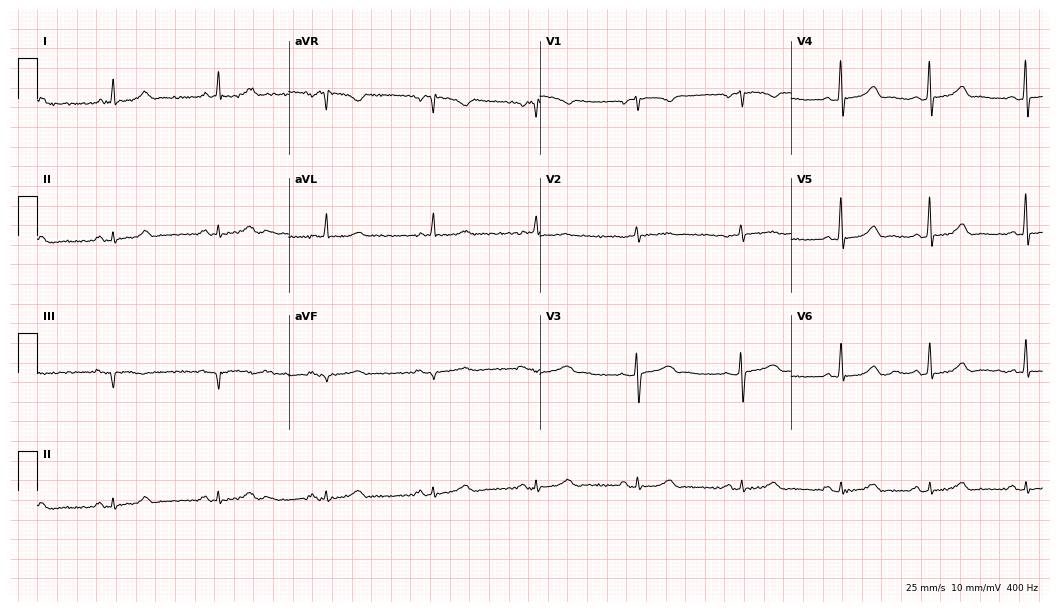
12-lead ECG from a 61-year-old female. No first-degree AV block, right bundle branch block (RBBB), left bundle branch block (LBBB), sinus bradycardia, atrial fibrillation (AF) or sinus tachycardia recorded for this tracing. Findings outside these six are not listed.